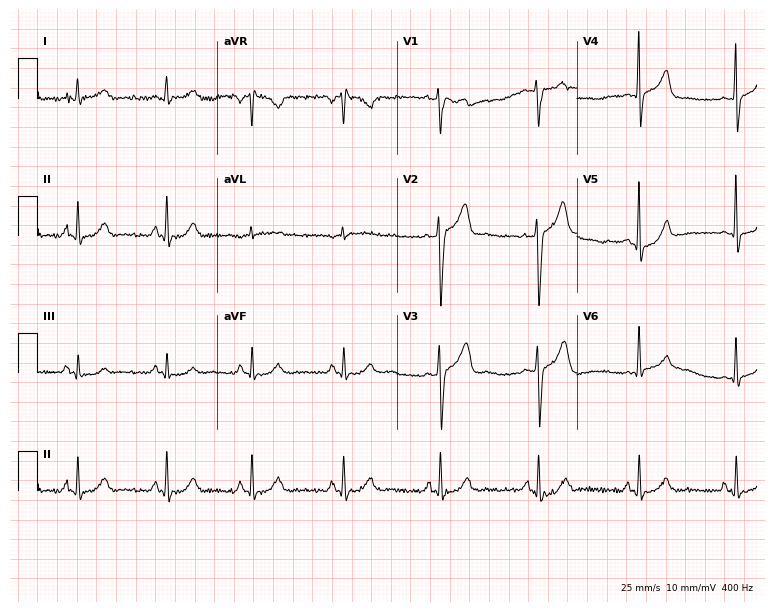
12-lead ECG from a 50-year-old man. Labelled as a normal ECG.